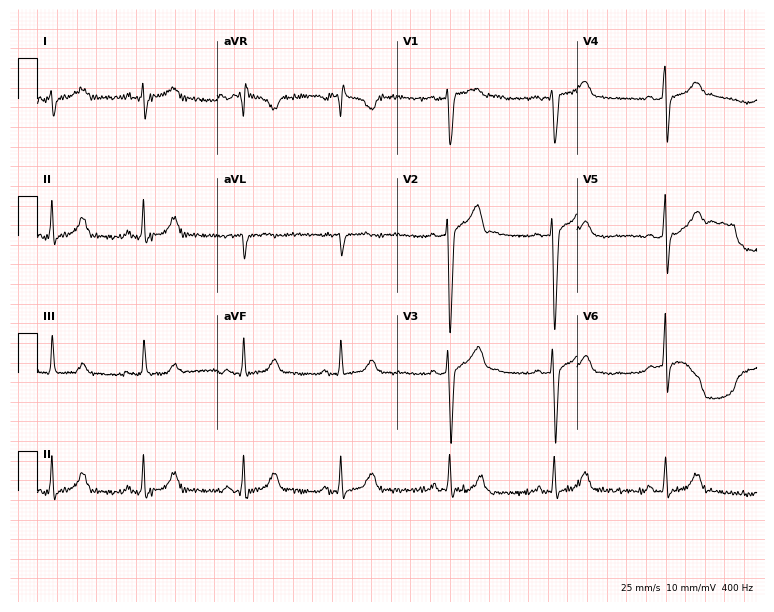
ECG (7.3-second recording at 400 Hz) — a male, 23 years old. Screened for six findings — first-degree AV block, right bundle branch block, left bundle branch block, sinus bradycardia, atrial fibrillation, sinus tachycardia — none is recorded. Other findings, if any, are not listed.